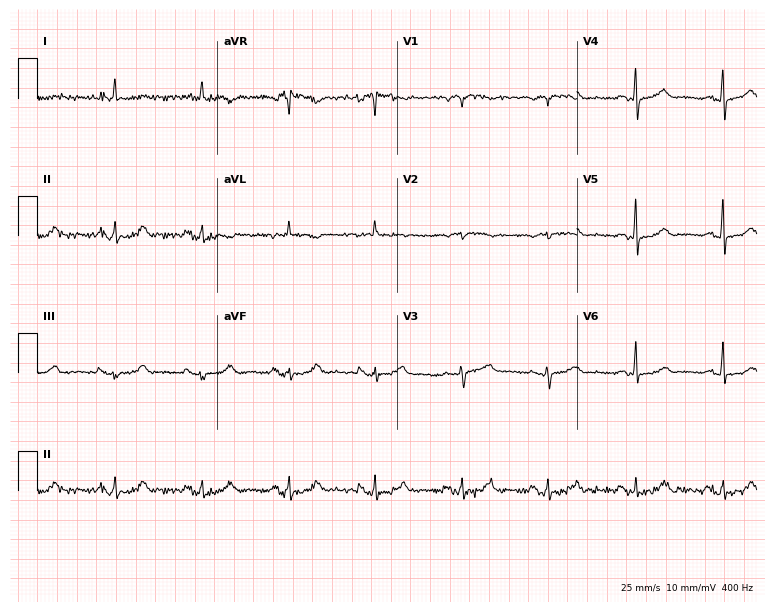
Resting 12-lead electrocardiogram. Patient: a female, 79 years old. Read as a normal ECG.